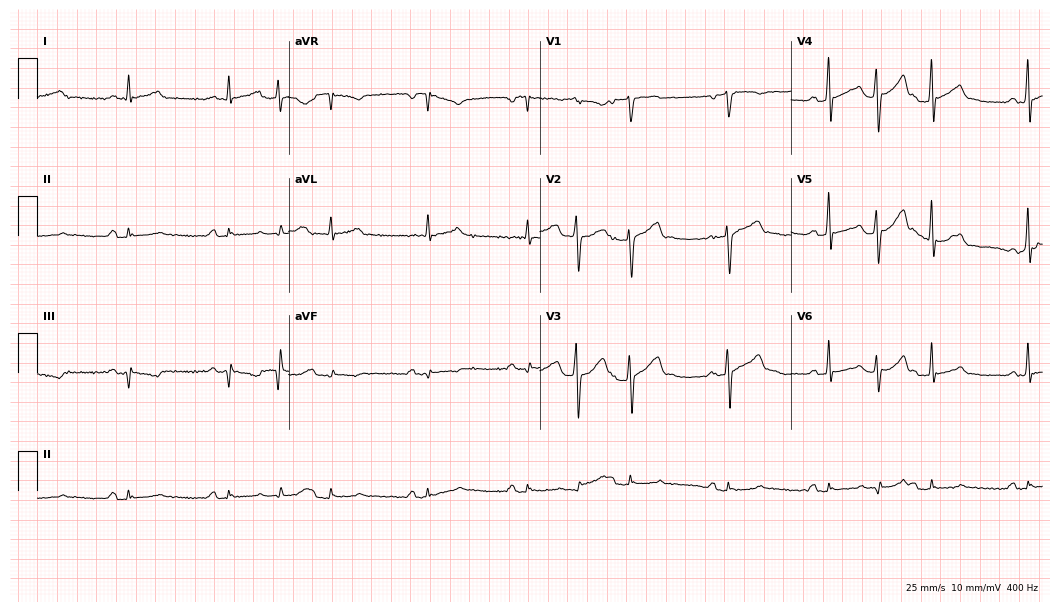
12-lead ECG (10.2-second recording at 400 Hz) from a 56-year-old male patient. Screened for six findings — first-degree AV block, right bundle branch block, left bundle branch block, sinus bradycardia, atrial fibrillation, sinus tachycardia — none is recorded. Other findings, if any, are not listed.